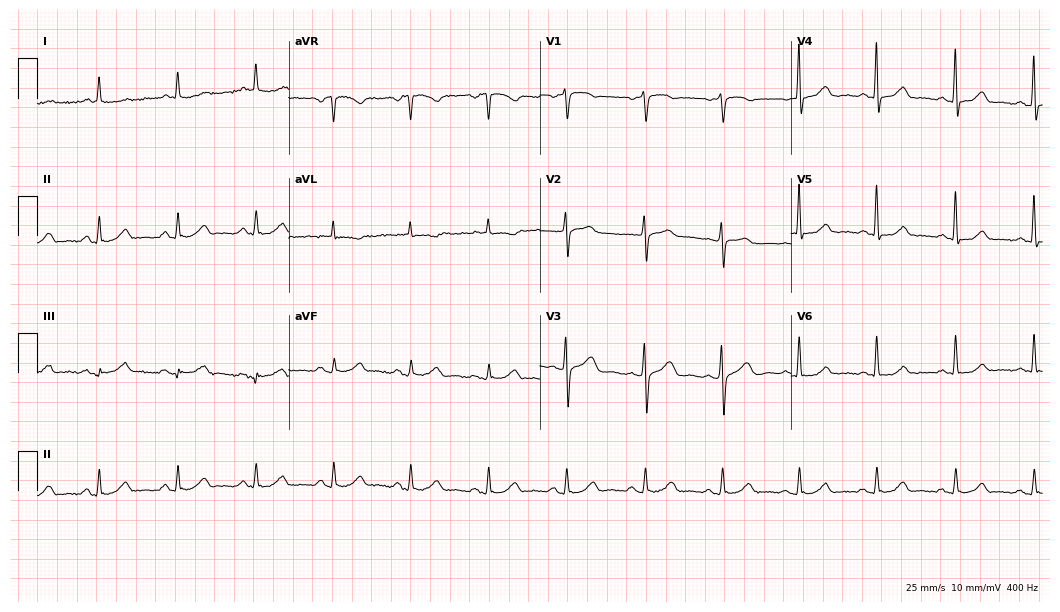
Resting 12-lead electrocardiogram (10.2-second recording at 400 Hz). Patient: a female, 60 years old. None of these six findings is recorded: first-degree AV block, right bundle branch block, left bundle branch block, sinus bradycardia, atrial fibrillation, sinus tachycardia.